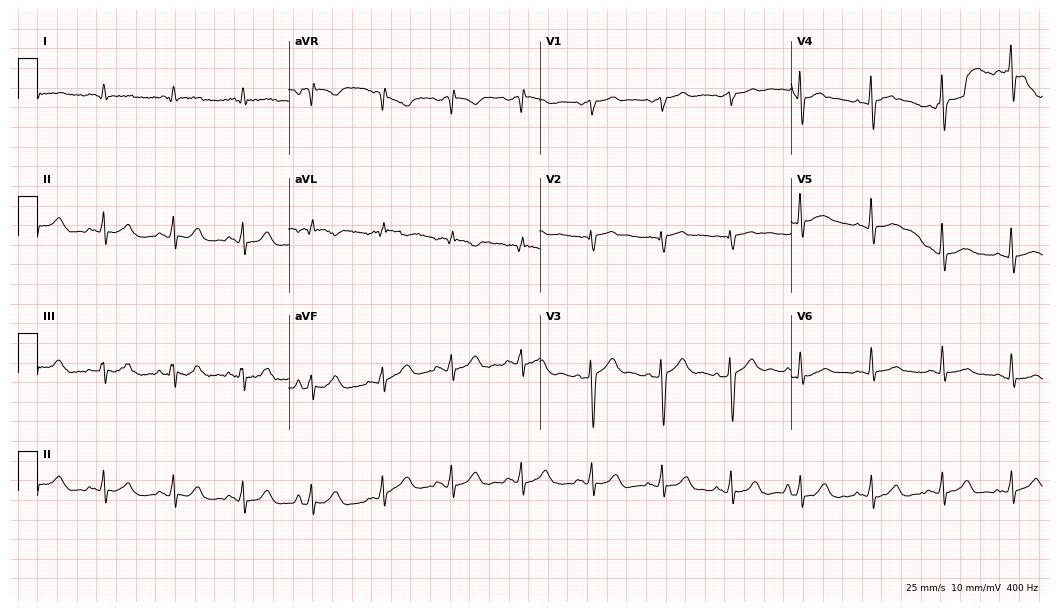
ECG — a 65-year-old male patient. Labelled as a normal ECG.